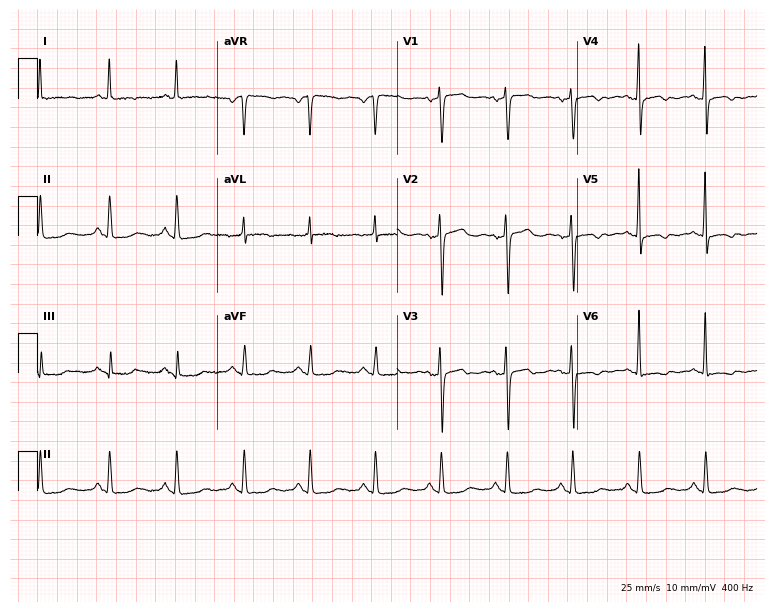
Electrocardiogram (7.3-second recording at 400 Hz), a 63-year-old woman. Of the six screened findings (first-degree AV block, right bundle branch block, left bundle branch block, sinus bradycardia, atrial fibrillation, sinus tachycardia), none is recorded.